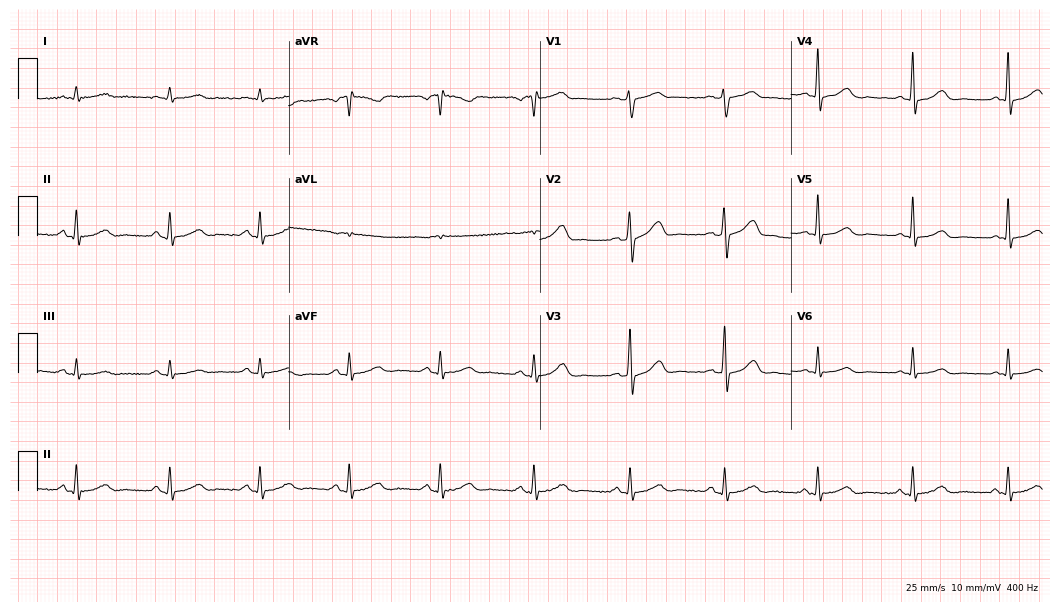
12-lead ECG (10.2-second recording at 400 Hz) from a 43-year-old man. Labelled as a normal ECG.